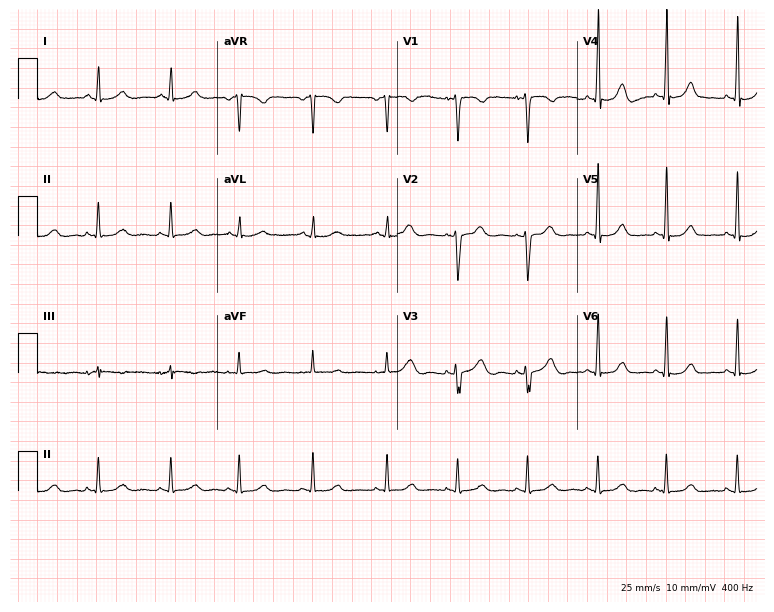
ECG (7.3-second recording at 400 Hz) — a female, 50 years old. Labelled as a normal ECG.